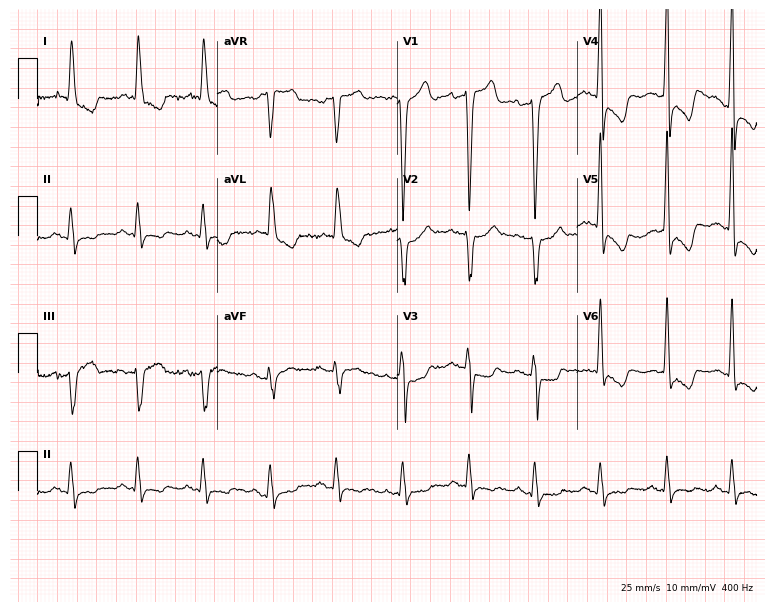
Electrocardiogram, an 83-year-old female. Interpretation includes left bundle branch block.